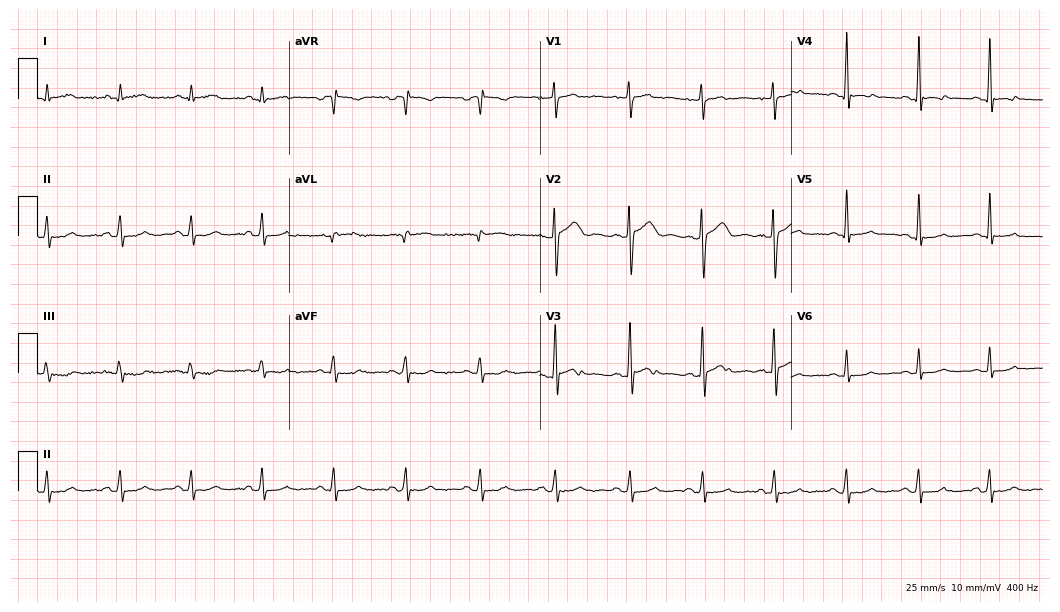
12-lead ECG (10.2-second recording at 400 Hz) from a man, 26 years old. Labelled as a normal ECG.